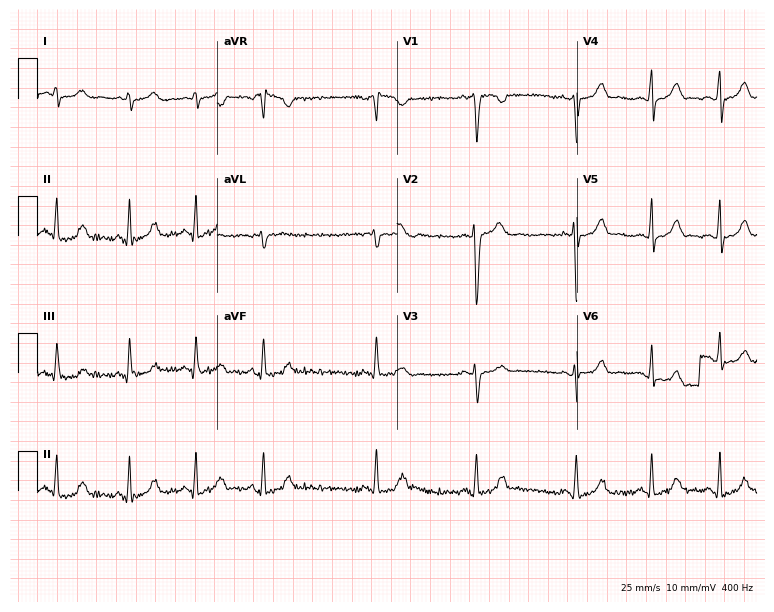
12-lead ECG from a female, 17 years old. Recorded interpretation: within normal limits.